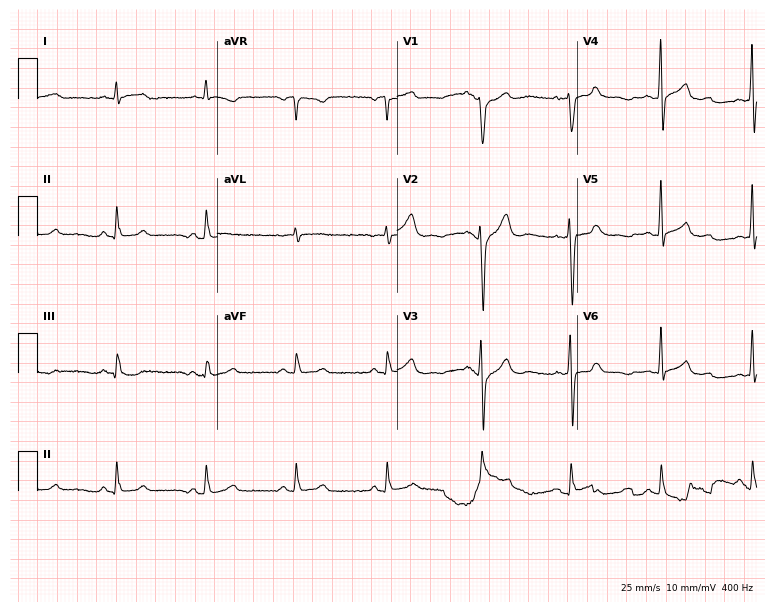
12-lead ECG from a 50-year-old male patient (7.3-second recording at 400 Hz). Recorded interpretation: within normal limits.